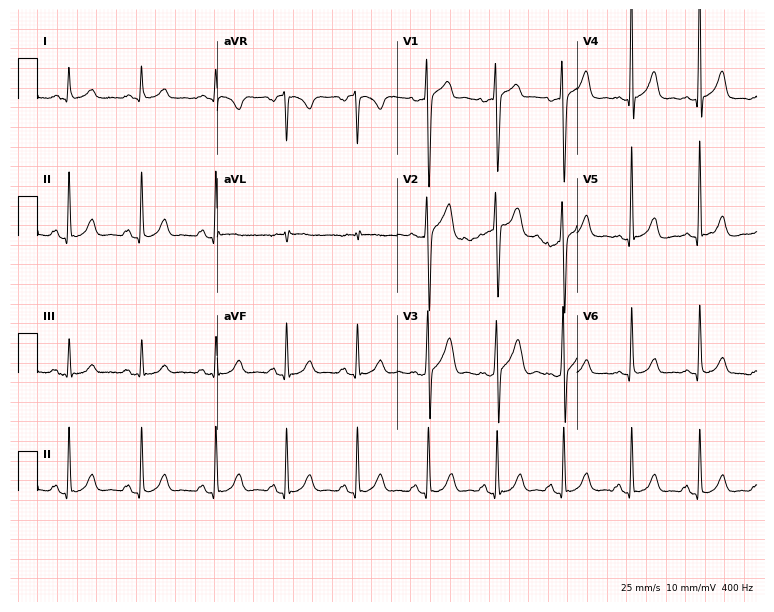
Electrocardiogram (7.3-second recording at 400 Hz), a 53-year-old male patient. Overall reading on record: normal ECG.